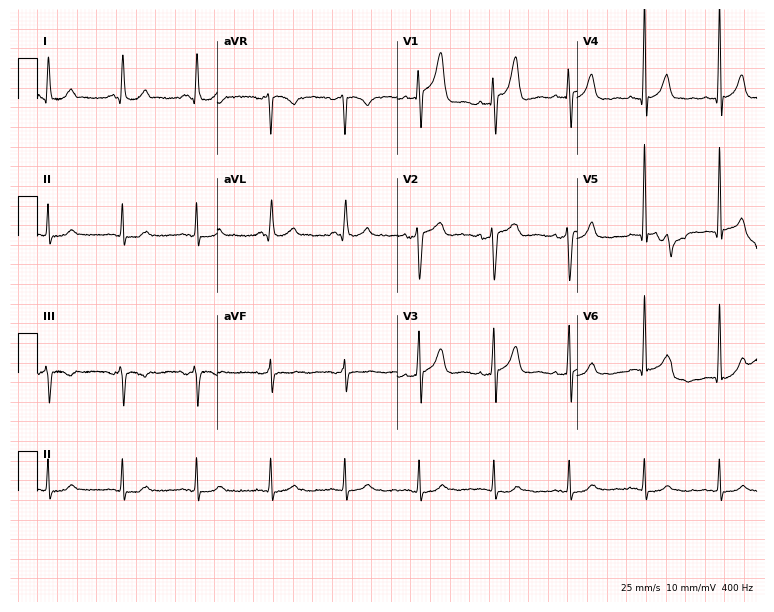
12-lead ECG from a 60-year-old male (7.3-second recording at 400 Hz). No first-degree AV block, right bundle branch block, left bundle branch block, sinus bradycardia, atrial fibrillation or sinus tachycardia recorded for this tracing. Other findings, if any, are not listed.